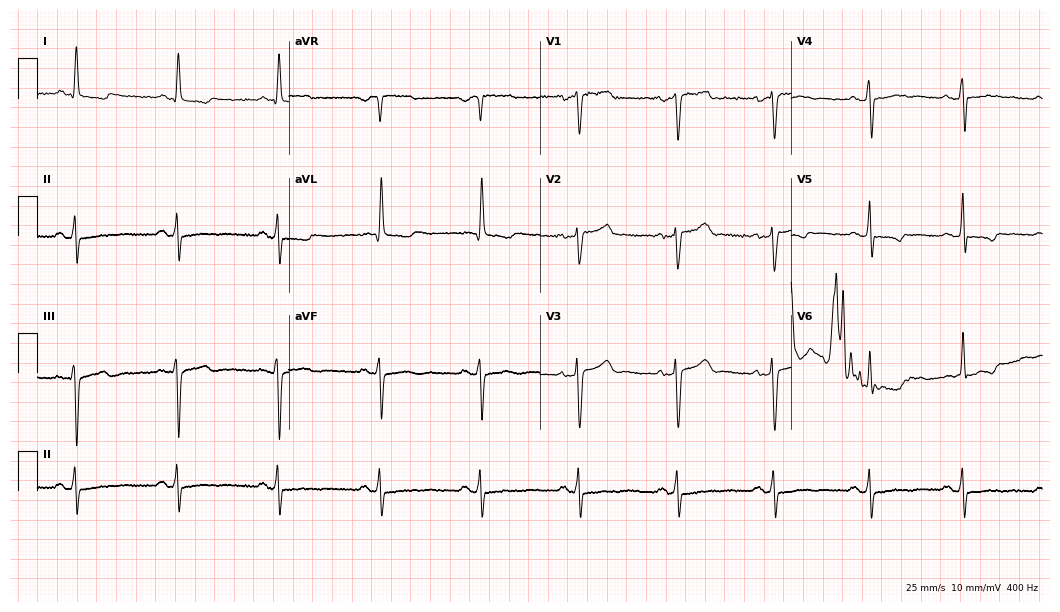
Standard 12-lead ECG recorded from a 55-year-old female. None of these six findings is recorded: first-degree AV block, right bundle branch block, left bundle branch block, sinus bradycardia, atrial fibrillation, sinus tachycardia.